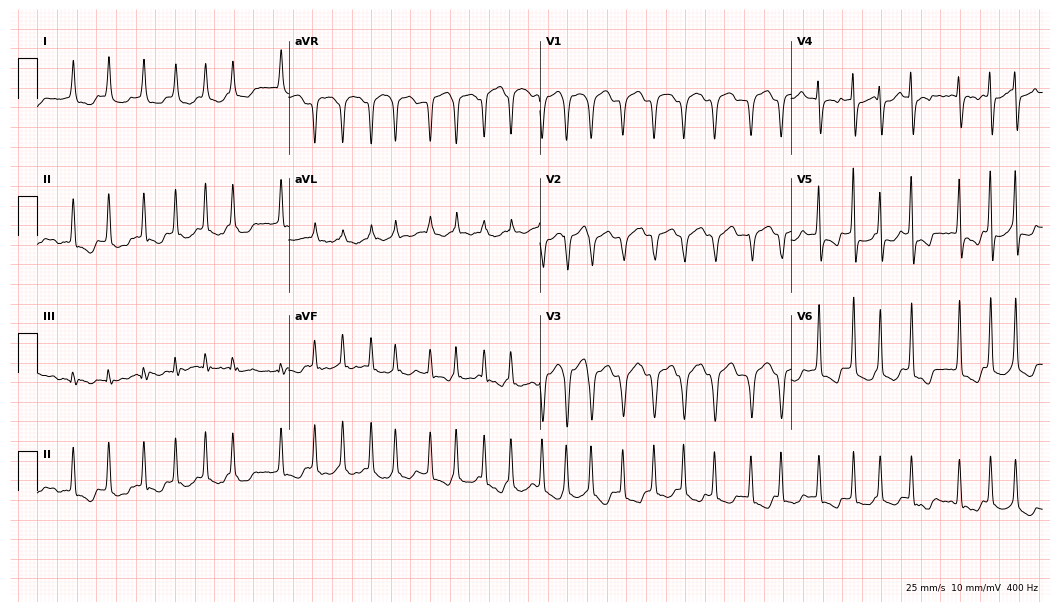
12-lead ECG from a woman, 82 years old. No first-degree AV block, right bundle branch block, left bundle branch block, sinus bradycardia, atrial fibrillation or sinus tachycardia recorded for this tracing.